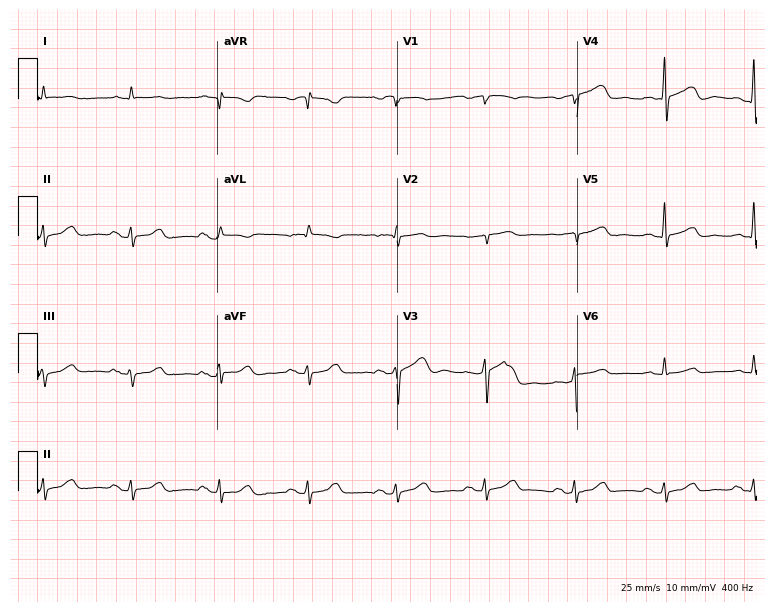
ECG (7.3-second recording at 400 Hz) — a man, 84 years old. Screened for six findings — first-degree AV block, right bundle branch block, left bundle branch block, sinus bradycardia, atrial fibrillation, sinus tachycardia — none is recorded.